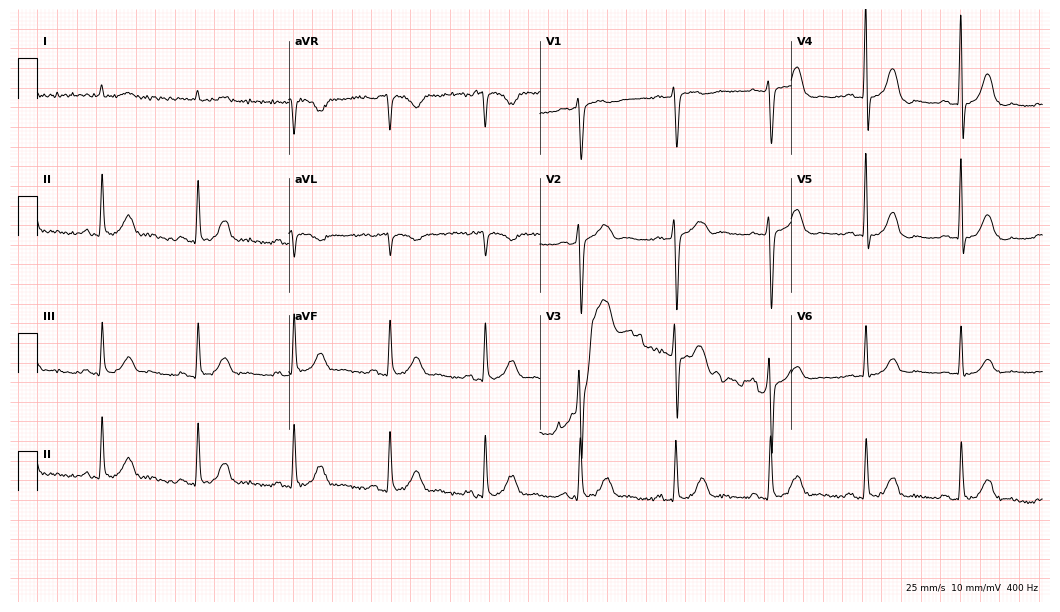
12-lead ECG from a 64-year-old male. Screened for six findings — first-degree AV block, right bundle branch block (RBBB), left bundle branch block (LBBB), sinus bradycardia, atrial fibrillation (AF), sinus tachycardia — none is recorded. Other findings, if any, are not listed.